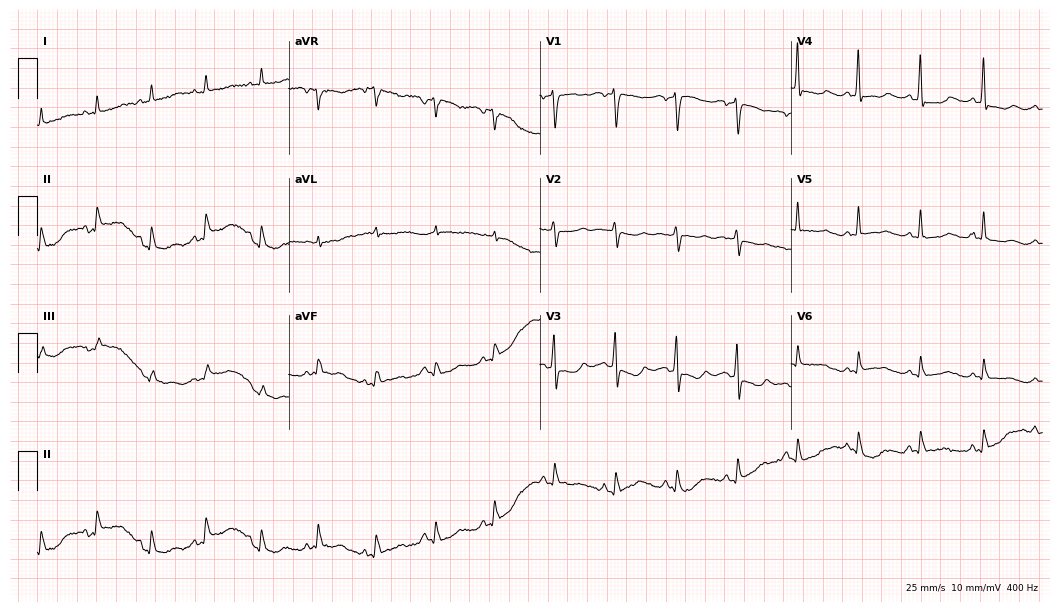
Electrocardiogram, a woman, 63 years old. Of the six screened findings (first-degree AV block, right bundle branch block, left bundle branch block, sinus bradycardia, atrial fibrillation, sinus tachycardia), none is recorded.